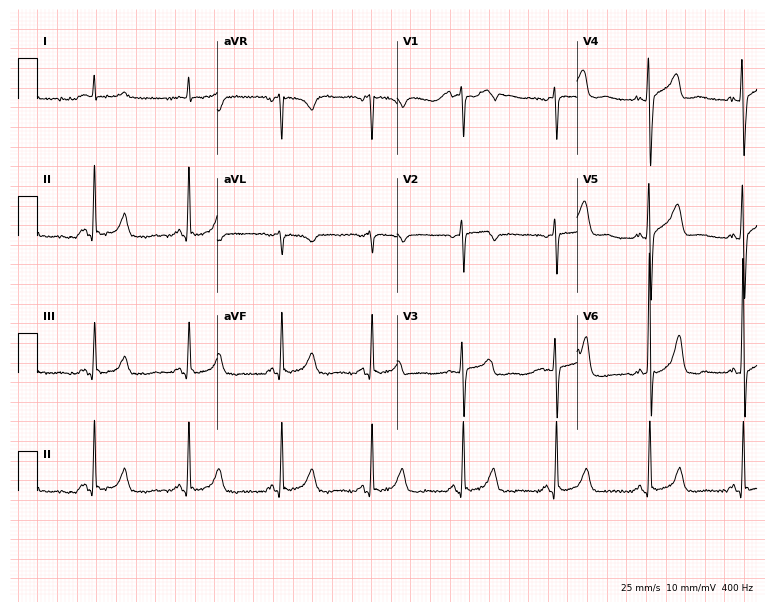
12-lead ECG (7.3-second recording at 400 Hz) from a male, 85 years old. Screened for six findings — first-degree AV block, right bundle branch block, left bundle branch block, sinus bradycardia, atrial fibrillation, sinus tachycardia — none is recorded.